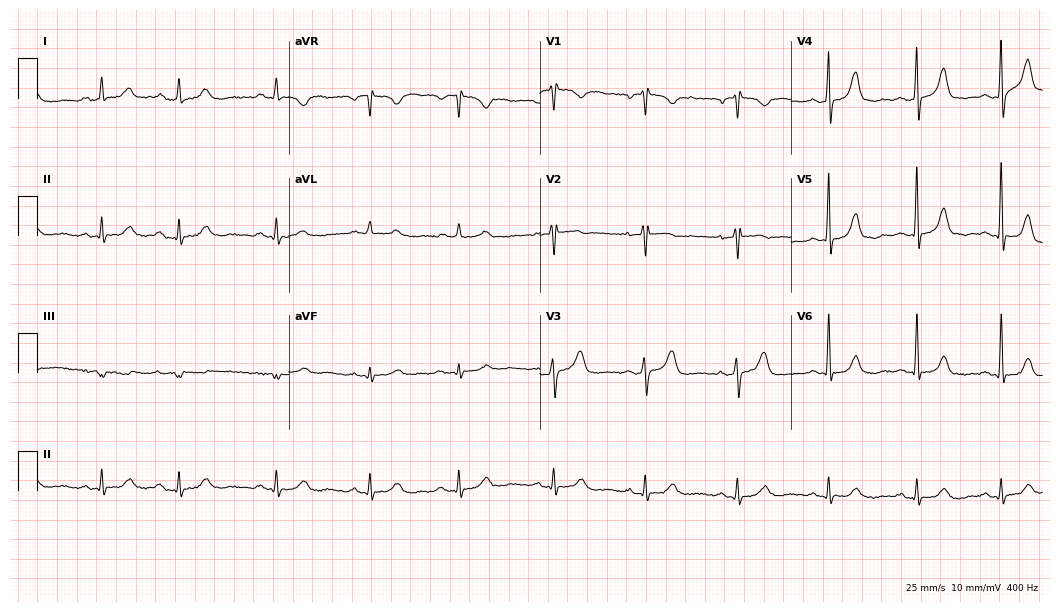
12-lead ECG from a male patient, 83 years old. Recorded interpretation: within normal limits.